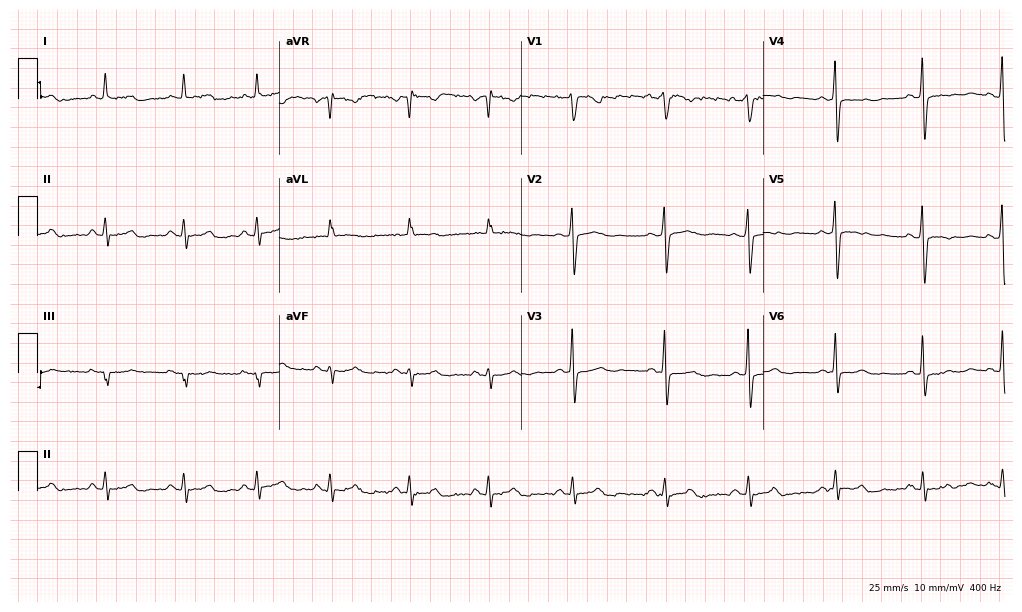
12-lead ECG from a 46-year-old woman (9.9-second recording at 400 Hz). No first-degree AV block, right bundle branch block (RBBB), left bundle branch block (LBBB), sinus bradycardia, atrial fibrillation (AF) or sinus tachycardia recorded for this tracing. Other findings, if any, are not listed.